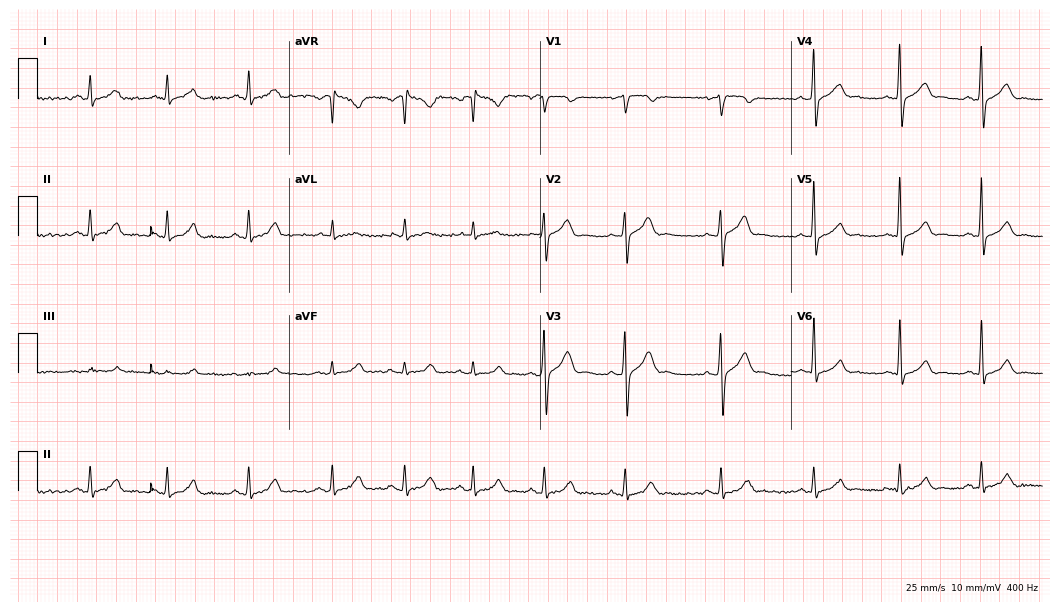
12-lead ECG from a male, 41 years old. Recorded interpretation: within normal limits.